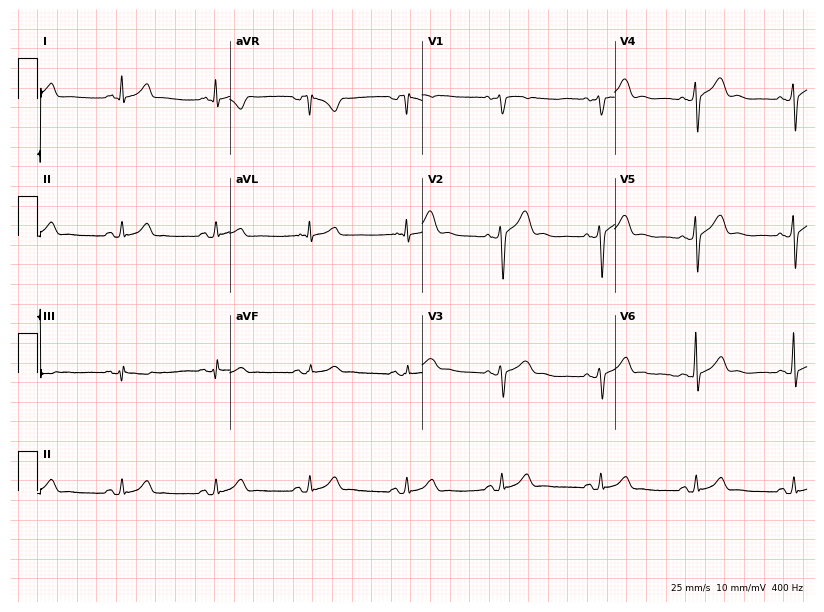
Electrocardiogram (7.8-second recording at 400 Hz), a male, 44 years old. Of the six screened findings (first-degree AV block, right bundle branch block, left bundle branch block, sinus bradycardia, atrial fibrillation, sinus tachycardia), none is recorded.